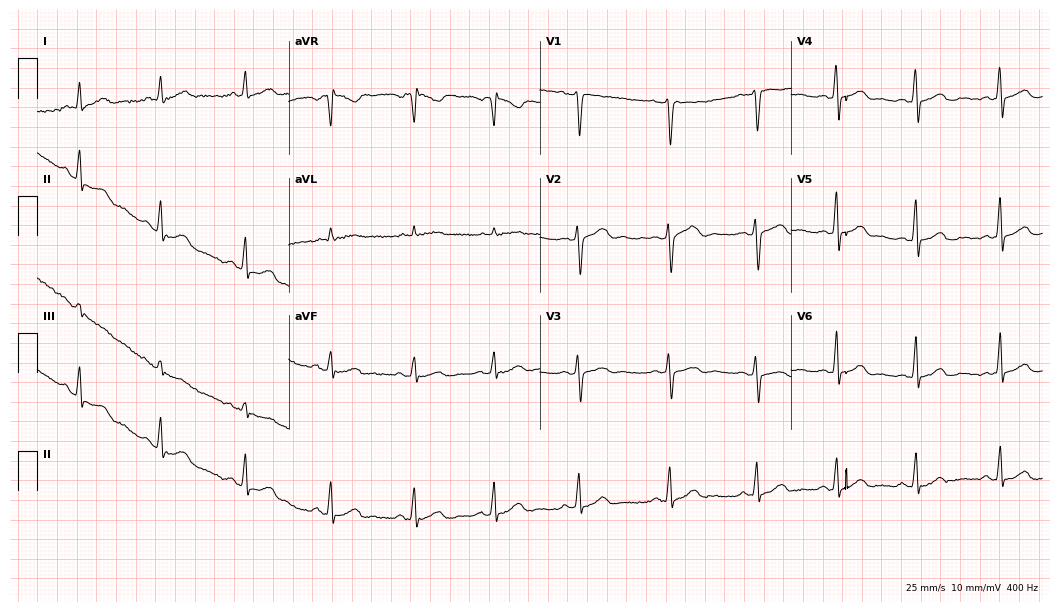
12-lead ECG from a 44-year-old female patient (10.2-second recording at 400 Hz). Recorded interpretation: within normal limits.